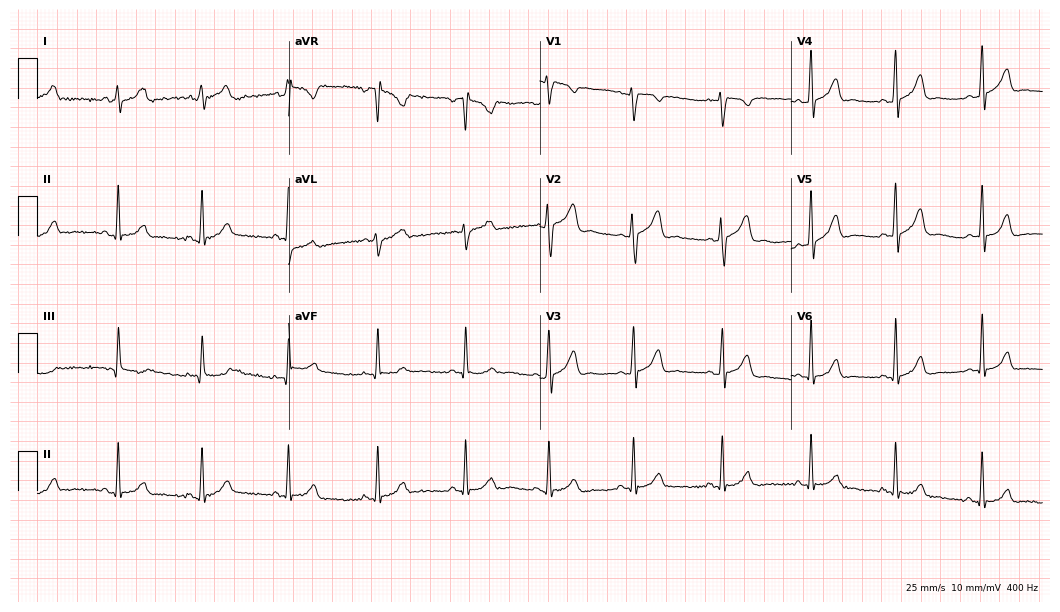
Resting 12-lead electrocardiogram (10.2-second recording at 400 Hz). Patient: a male, 31 years old. Read as a normal ECG.